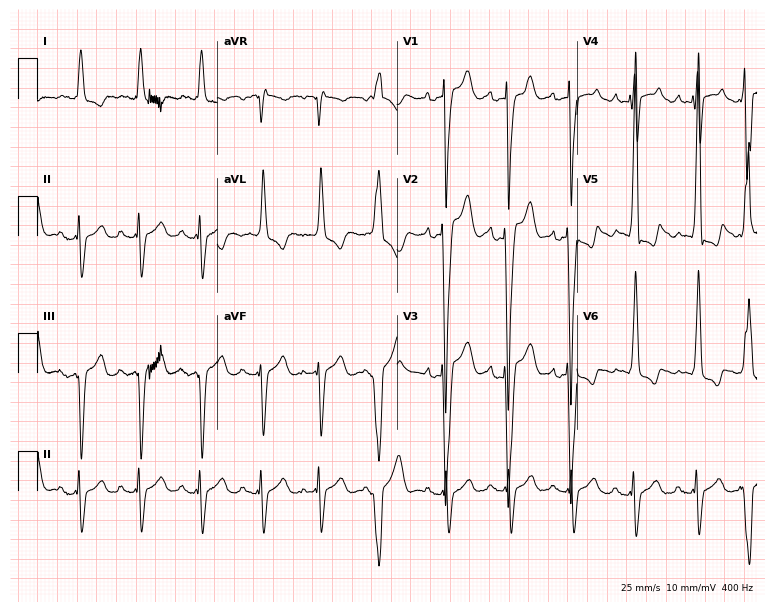
12-lead ECG (7.3-second recording at 400 Hz) from a 72-year-old male. Screened for six findings — first-degree AV block, right bundle branch block, left bundle branch block, sinus bradycardia, atrial fibrillation, sinus tachycardia — none is recorded. Other findings, if any, are not listed.